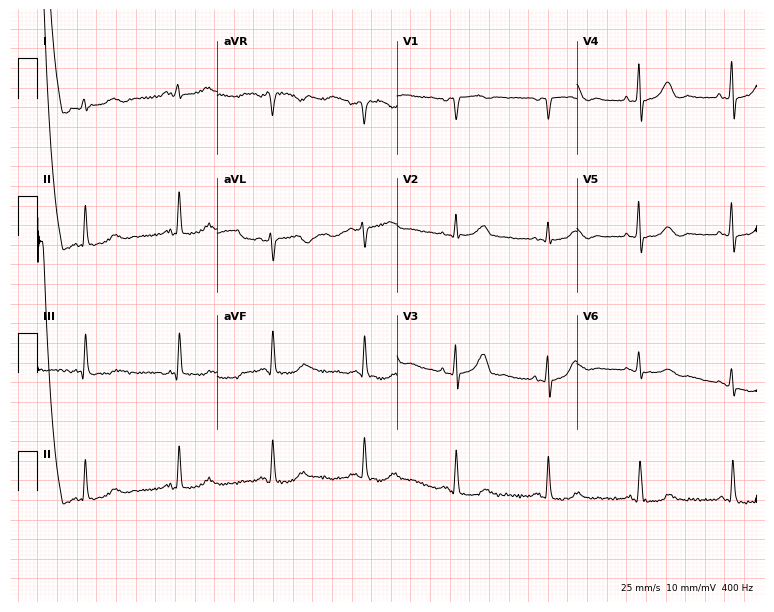
12-lead ECG from a female patient, 76 years old (7.3-second recording at 400 Hz). No first-degree AV block, right bundle branch block, left bundle branch block, sinus bradycardia, atrial fibrillation or sinus tachycardia recorded for this tracing.